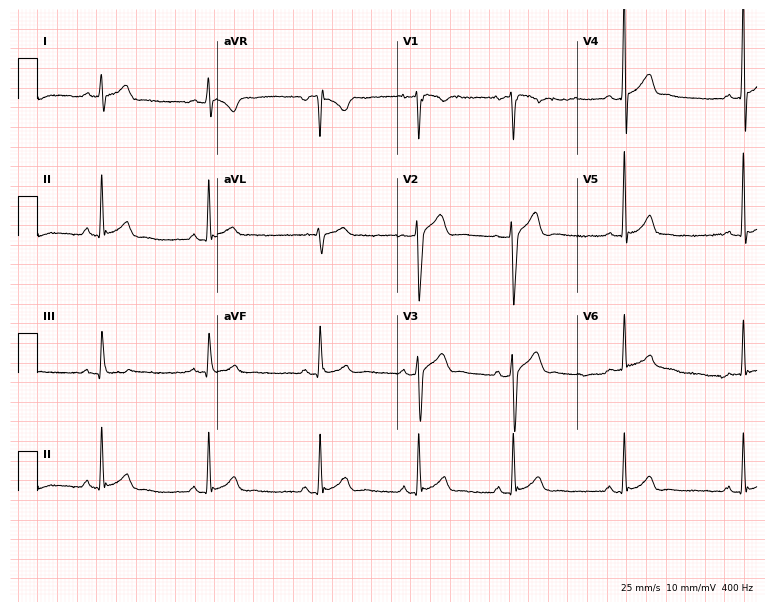
Electrocardiogram, a male, 22 years old. Of the six screened findings (first-degree AV block, right bundle branch block, left bundle branch block, sinus bradycardia, atrial fibrillation, sinus tachycardia), none is recorded. Findings outside these six are not listed.